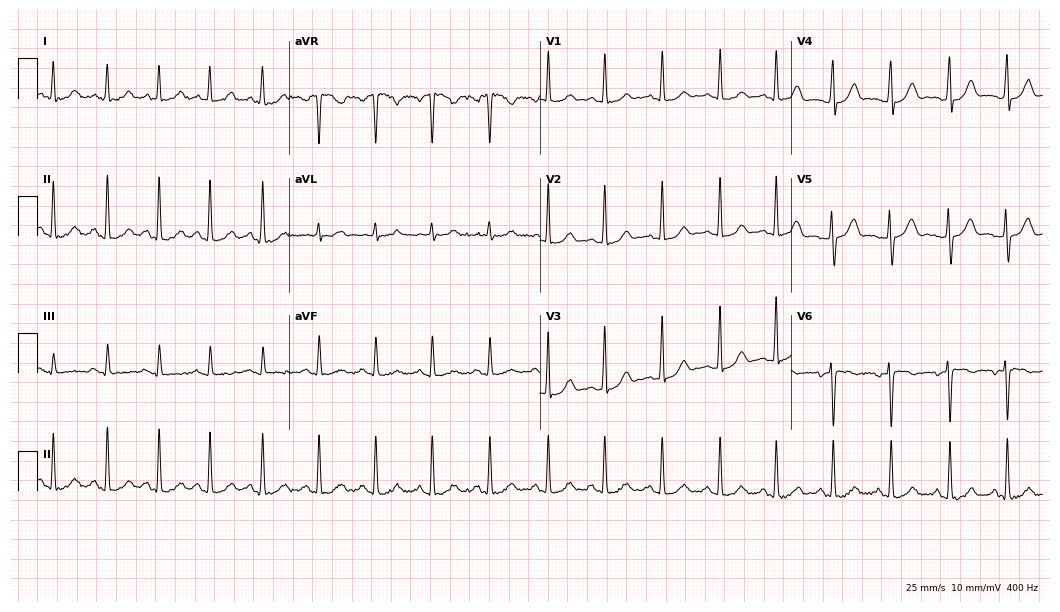
Standard 12-lead ECG recorded from a female patient, 22 years old (10.2-second recording at 400 Hz). None of these six findings is recorded: first-degree AV block, right bundle branch block (RBBB), left bundle branch block (LBBB), sinus bradycardia, atrial fibrillation (AF), sinus tachycardia.